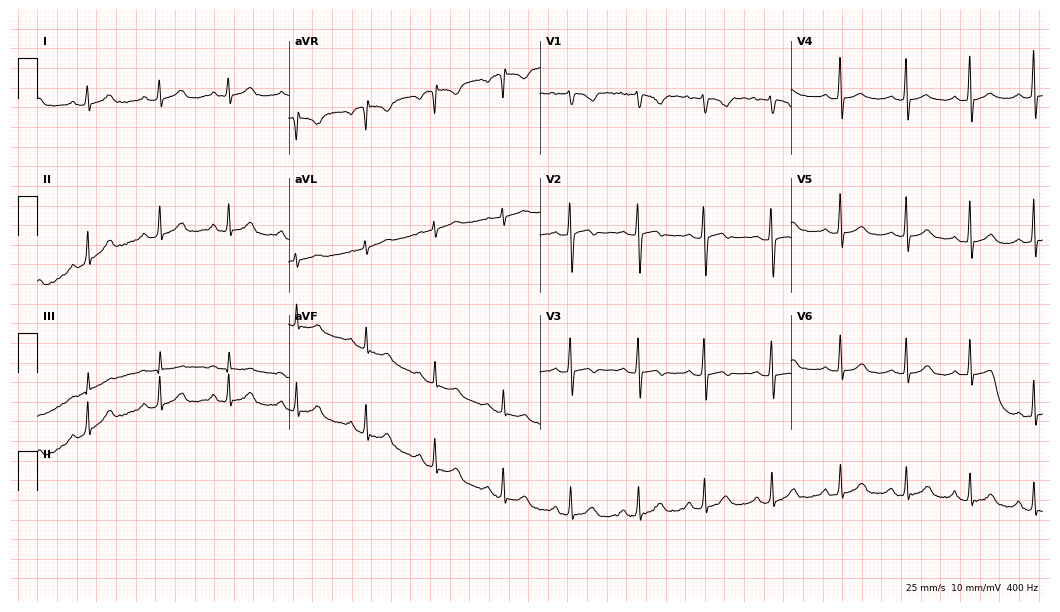
ECG (10.2-second recording at 400 Hz) — an 18-year-old female patient. Screened for six findings — first-degree AV block, right bundle branch block (RBBB), left bundle branch block (LBBB), sinus bradycardia, atrial fibrillation (AF), sinus tachycardia — none is recorded.